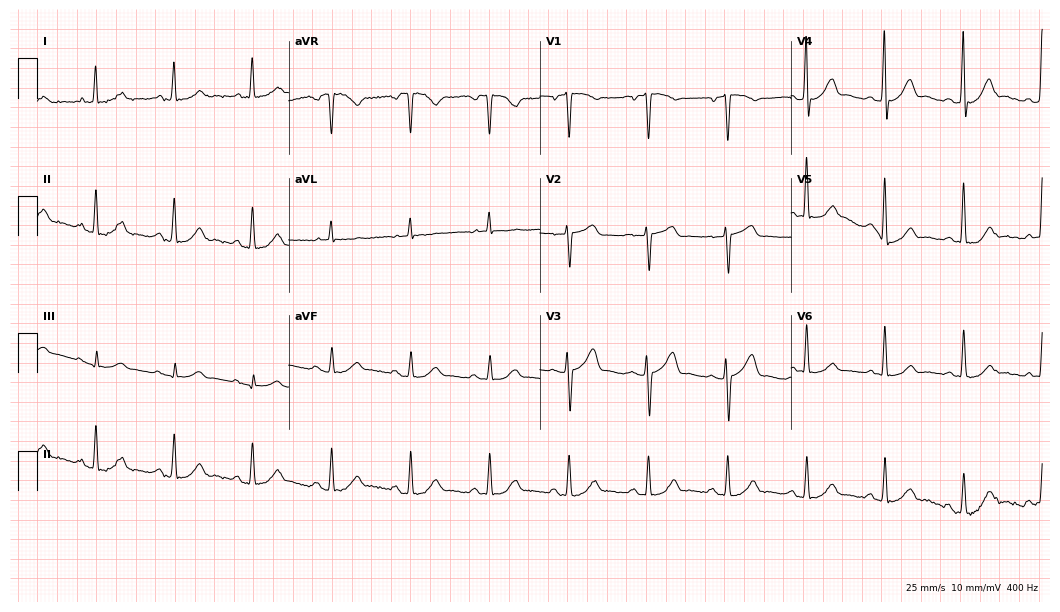
Resting 12-lead electrocardiogram. Patient: a male, 70 years old. Read as a normal ECG.